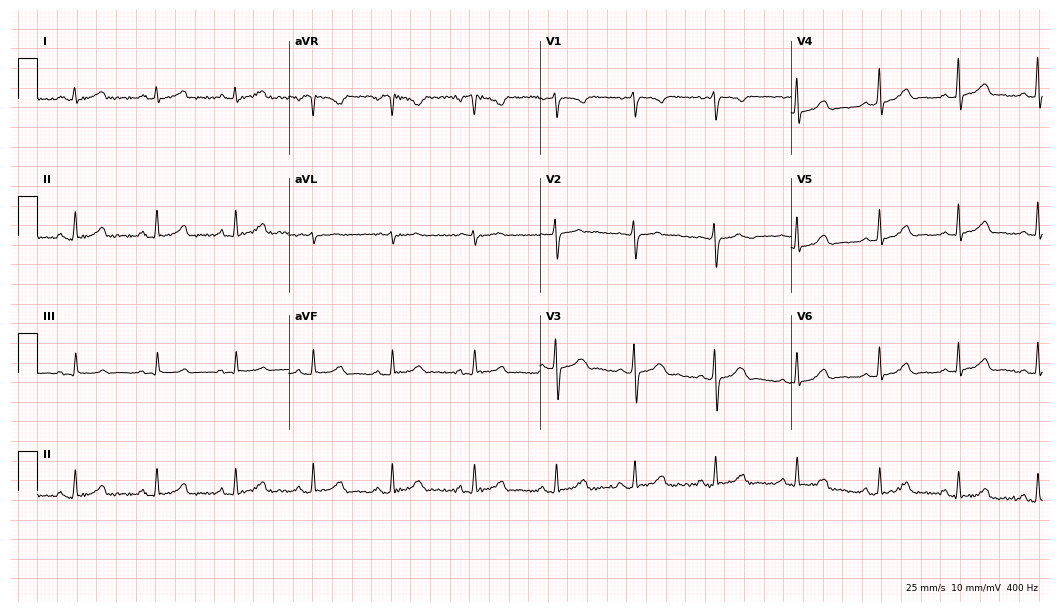
ECG — a female patient, 31 years old. Labelled as a normal ECG.